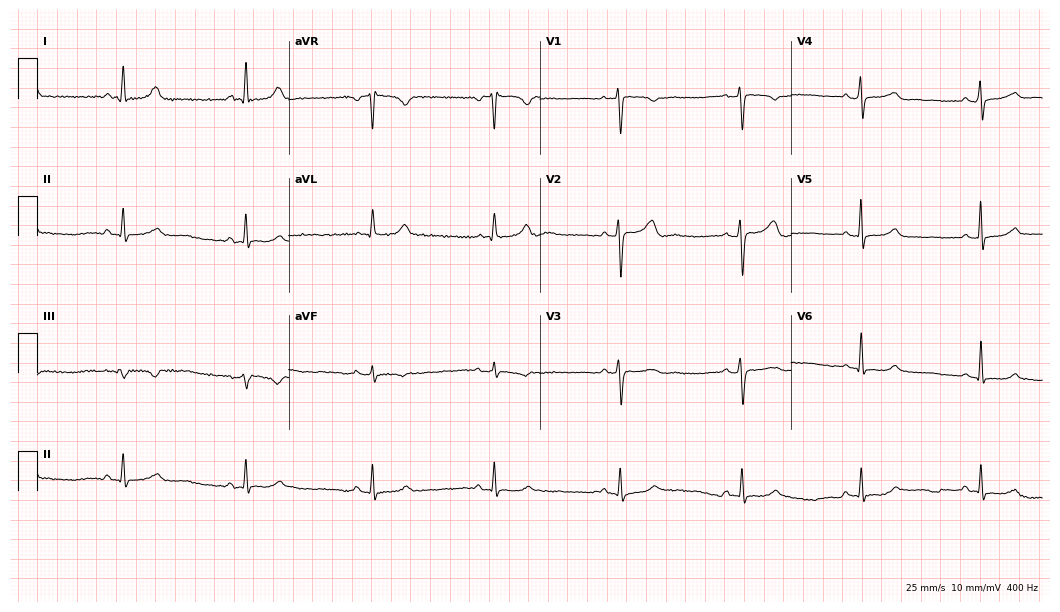
12-lead ECG from a 52-year-old female patient. Shows sinus bradycardia (a sinus rate of 50 beats per minute or less).